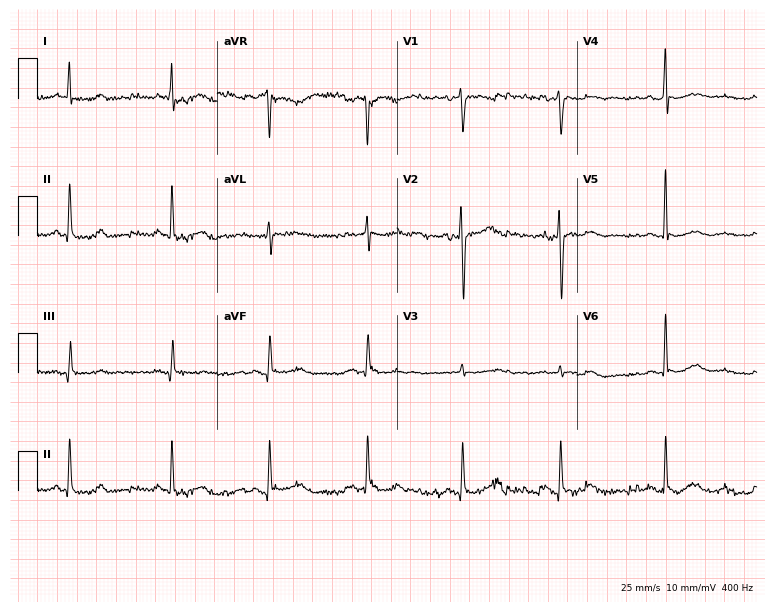
Resting 12-lead electrocardiogram (7.3-second recording at 400 Hz). Patient: a female, 56 years old. None of these six findings is recorded: first-degree AV block, right bundle branch block, left bundle branch block, sinus bradycardia, atrial fibrillation, sinus tachycardia. Only these six findings were labelled.